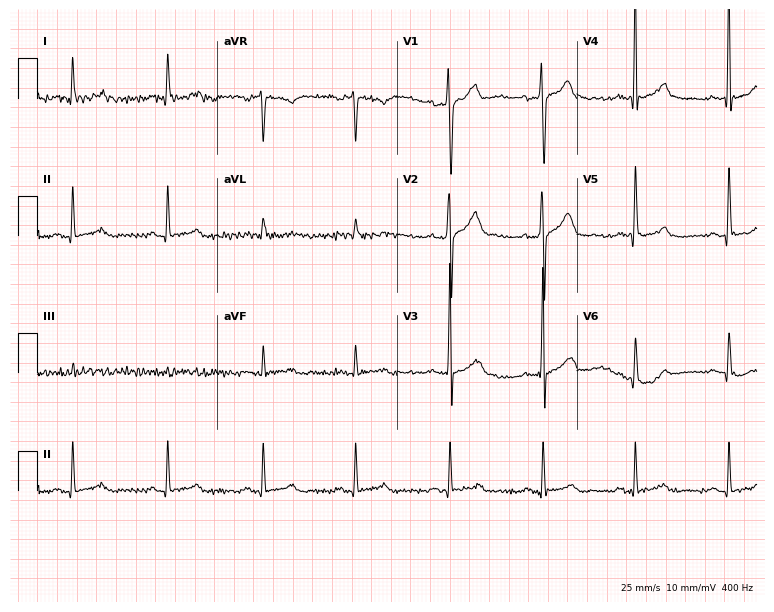
Standard 12-lead ECG recorded from a male patient, 43 years old (7.3-second recording at 400 Hz). Read as a normal ECG.